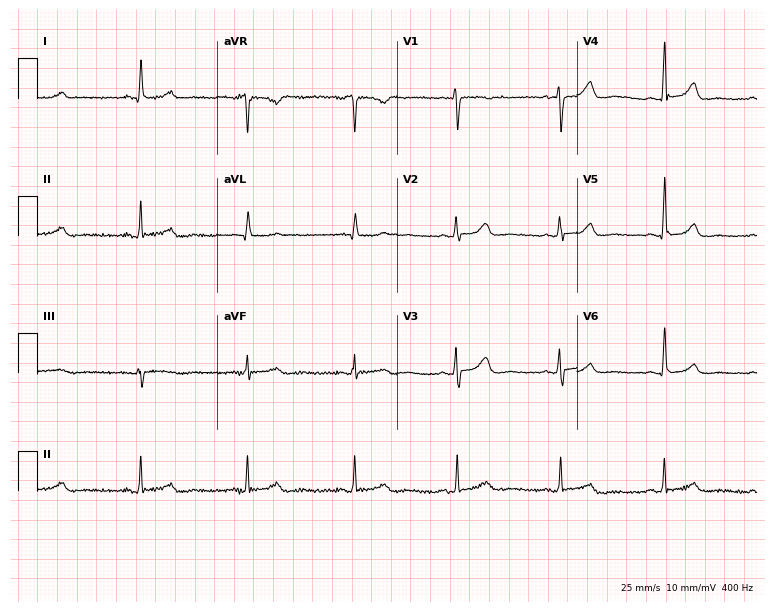
ECG (7.3-second recording at 400 Hz) — a female, 66 years old. Labelled as a normal ECG.